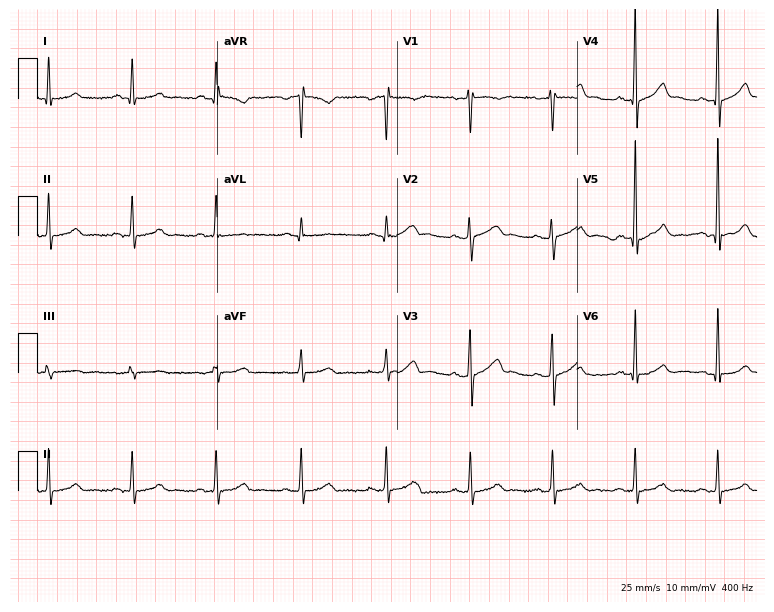
12-lead ECG from a 49-year-old male. Screened for six findings — first-degree AV block, right bundle branch block (RBBB), left bundle branch block (LBBB), sinus bradycardia, atrial fibrillation (AF), sinus tachycardia — none is recorded. Other findings, if any, are not listed.